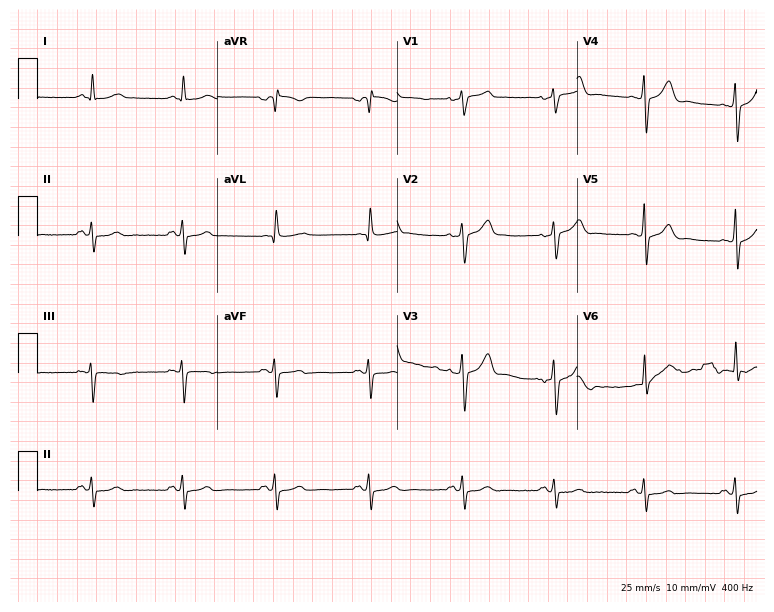
12-lead ECG from a male, 76 years old. Screened for six findings — first-degree AV block, right bundle branch block, left bundle branch block, sinus bradycardia, atrial fibrillation, sinus tachycardia — none is recorded.